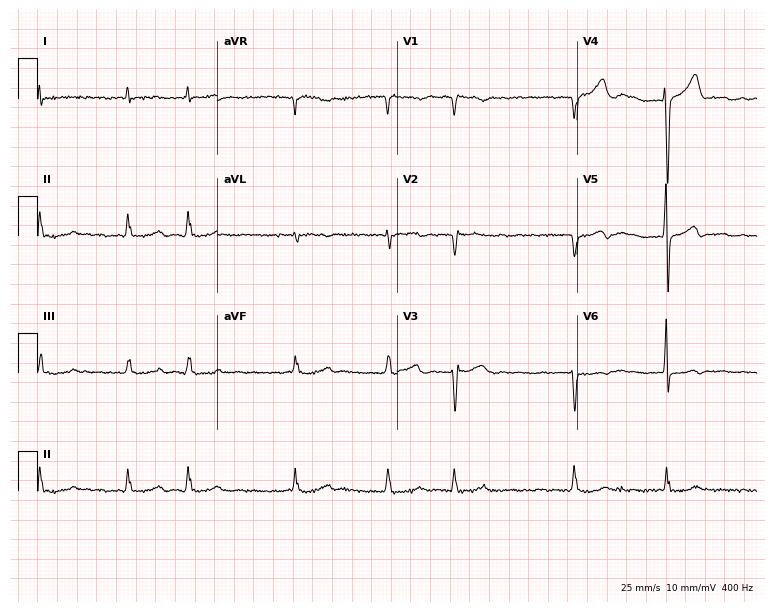
12-lead ECG from an 85-year-old male. Findings include atrial fibrillation.